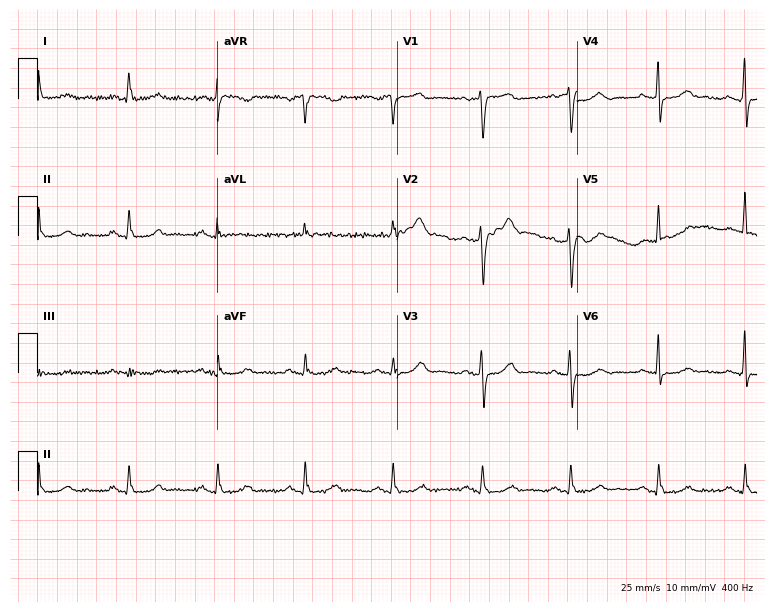
Electrocardiogram, a 67-year-old female patient. Of the six screened findings (first-degree AV block, right bundle branch block, left bundle branch block, sinus bradycardia, atrial fibrillation, sinus tachycardia), none is recorded.